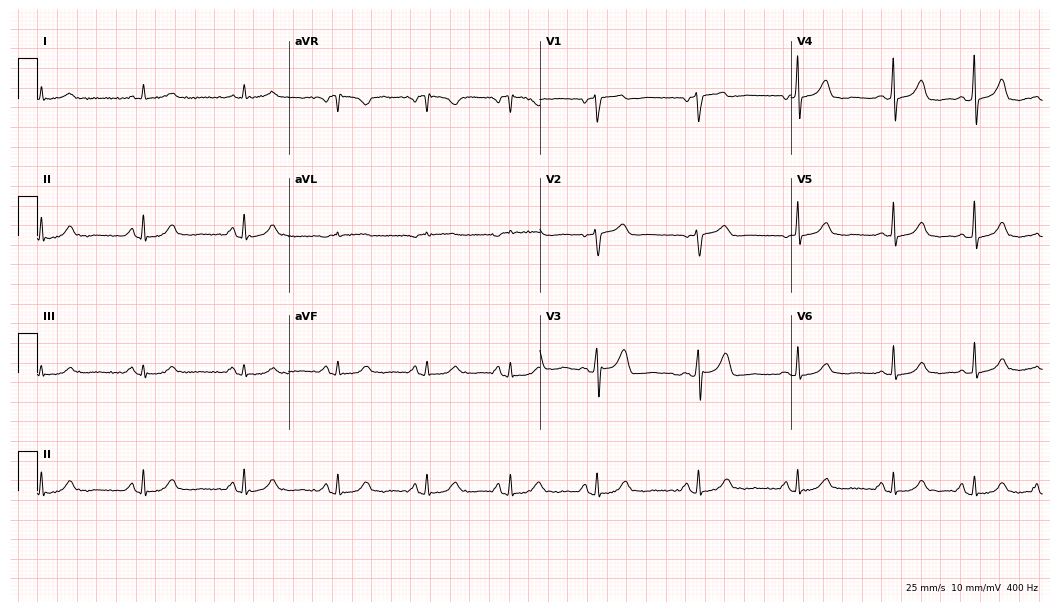
Standard 12-lead ECG recorded from a 67-year-old man. Read as a normal ECG.